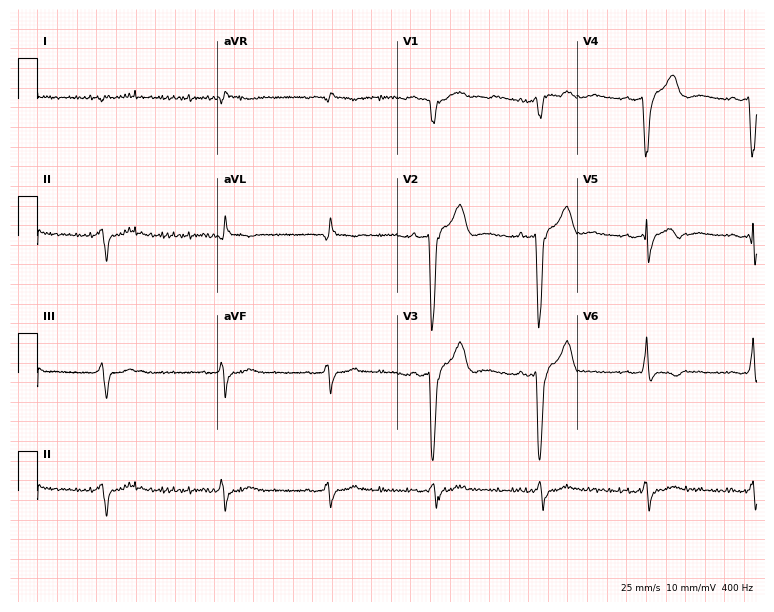
Electrocardiogram (7.3-second recording at 400 Hz), a 55-year-old male patient. Interpretation includes left bundle branch block.